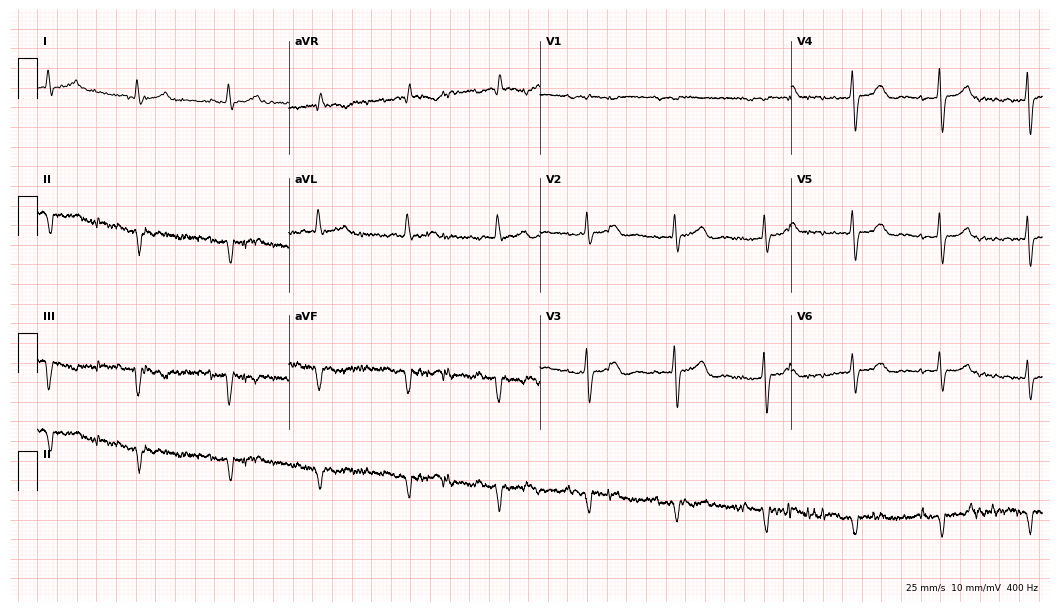
Resting 12-lead electrocardiogram. Patient: a 73-year-old man. None of these six findings is recorded: first-degree AV block, right bundle branch block, left bundle branch block, sinus bradycardia, atrial fibrillation, sinus tachycardia.